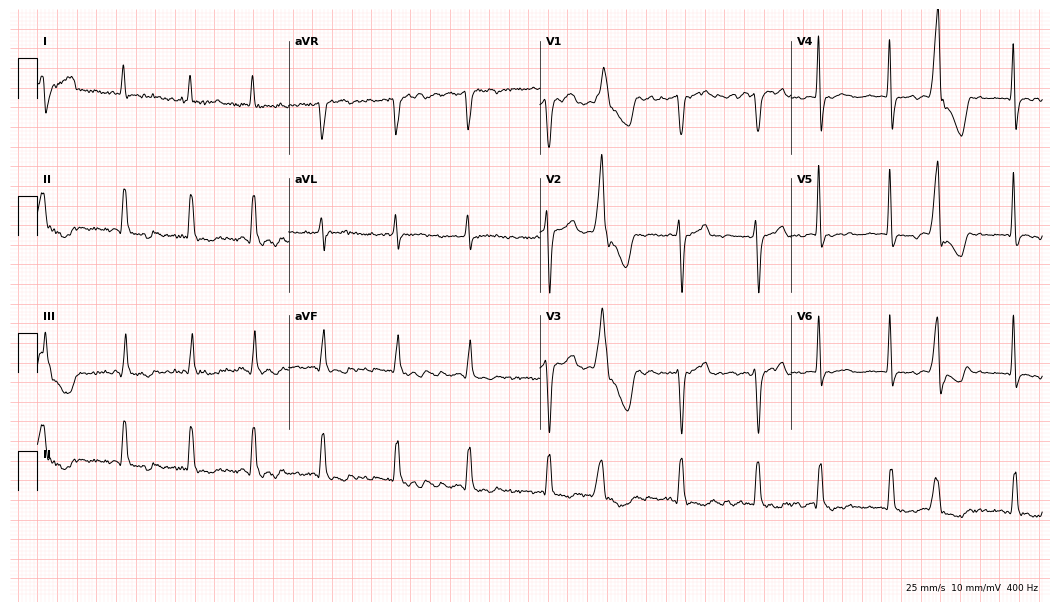
Resting 12-lead electrocardiogram (10.2-second recording at 400 Hz). Patient: a male, 67 years old. The tracing shows atrial fibrillation.